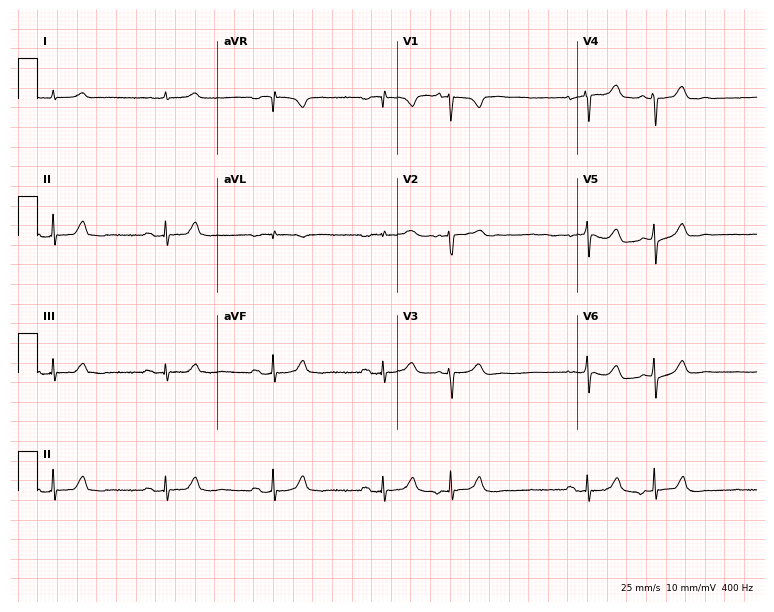
12-lead ECG from a man, 81 years old (7.3-second recording at 400 Hz). No first-degree AV block, right bundle branch block, left bundle branch block, sinus bradycardia, atrial fibrillation or sinus tachycardia recorded for this tracing.